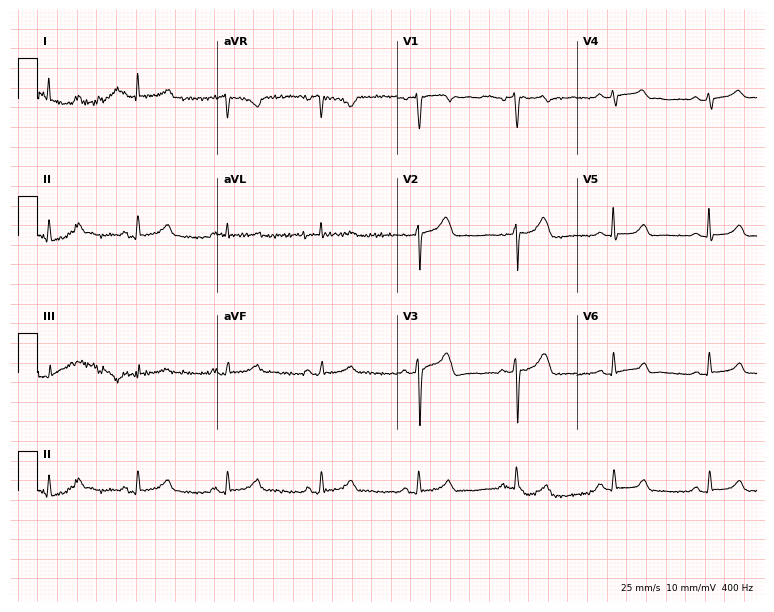
Standard 12-lead ECG recorded from a male, 73 years old. Read as a normal ECG.